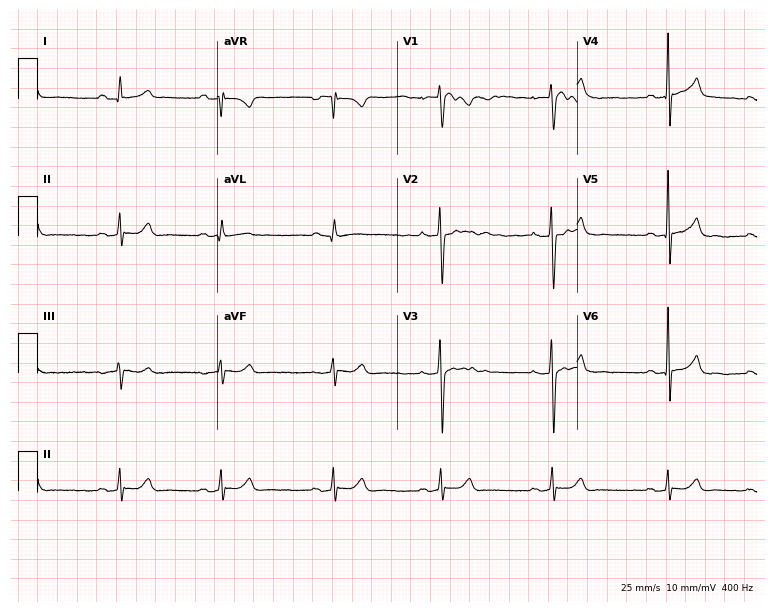
12-lead ECG from an 18-year-old female patient. Recorded interpretation: within normal limits.